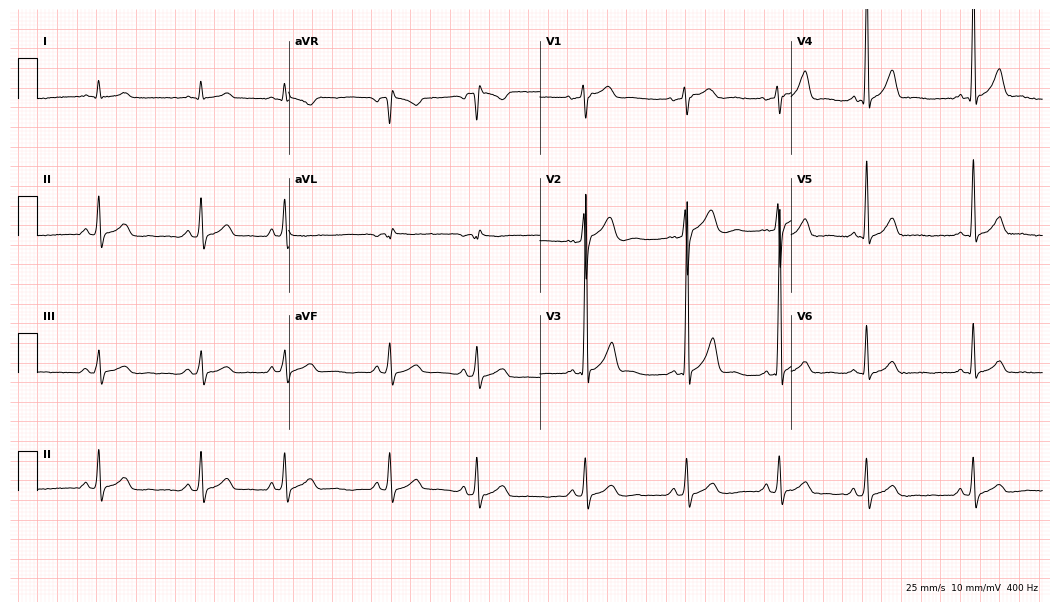
Resting 12-lead electrocardiogram. Patient: a 39-year-old man. None of these six findings is recorded: first-degree AV block, right bundle branch block, left bundle branch block, sinus bradycardia, atrial fibrillation, sinus tachycardia. Only these six findings were labelled.